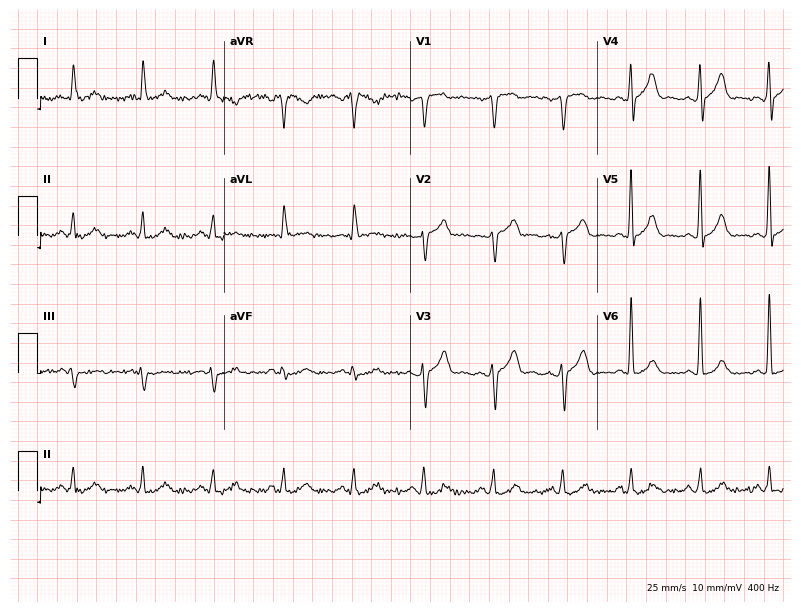
Resting 12-lead electrocardiogram. Patient: a male, 66 years old. None of these six findings is recorded: first-degree AV block, right bundle branch block, left bundle branch block, sinus bradycardia, atrial fibrillation, sinus tachycardia.